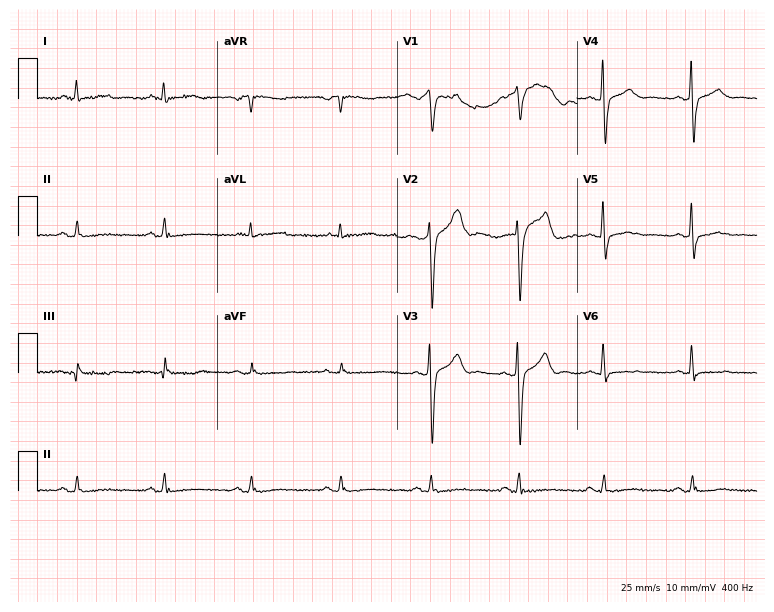
12-lead ECG from a male, 55 years old. No first-degree AV block, right bundle branch block (RBBB), left bundle branch block (LBBB), sinus bradycardia, atrial fibrillation (AF) or sinus tachycardia recorded for this tracing. Findings outside these six are not listed.